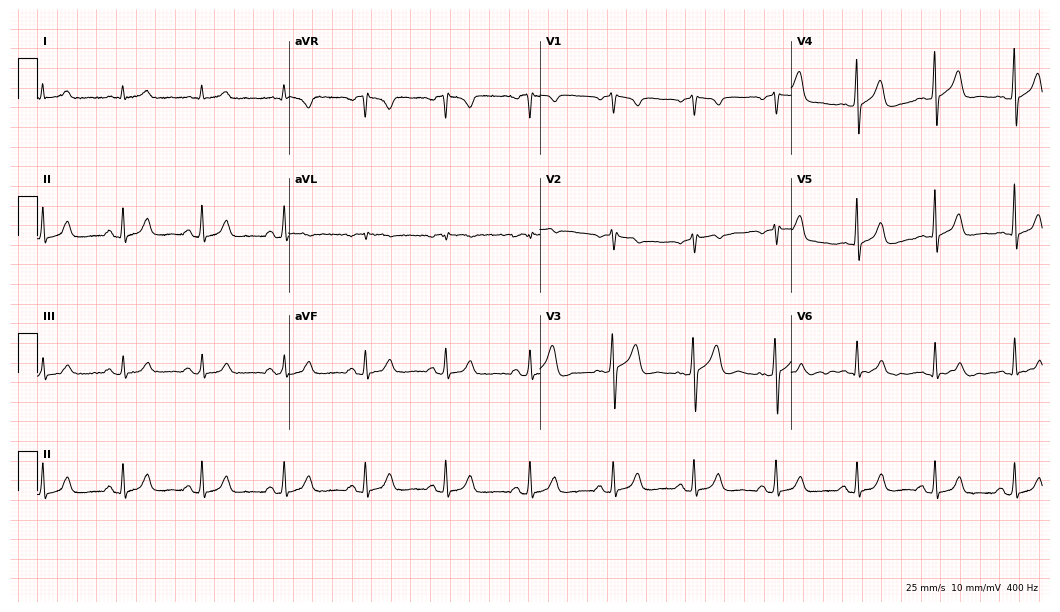
Standard 12-lead ECG recorded from a male patient, 51 years old (10.2-second recording at 400 Hz). None of these six findings is recorded: first-degree AV block, right bundle branch block (RBBB), left bundle branch block (LBBB), sinus bradycardia, atrial fibrillation (AF), sinus tachycardia. Only these six findings were labelled.